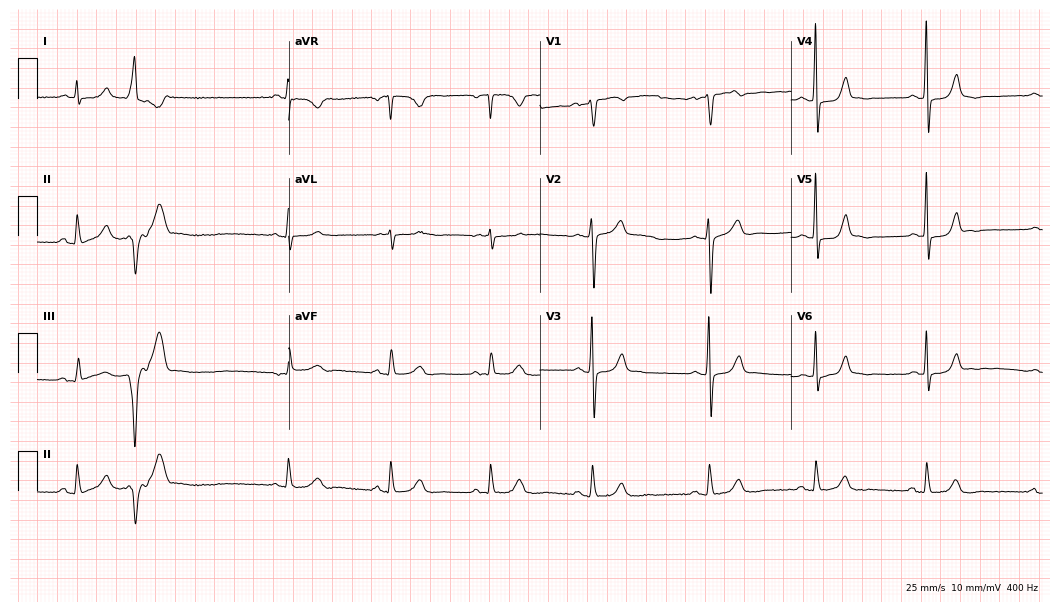
Resting 12-lead electrocardiogram (10.2-second recording at 400 Hz). Patient: a 75-year-old male. None of these six findings is recorded: first-degree AV block, right bundle branch block (RBBB), left bundle branch block (LBBB), sinus bradycardia, atrial fibrillation (AF), sinus tachycardia. Other findings, if any, are not listed.